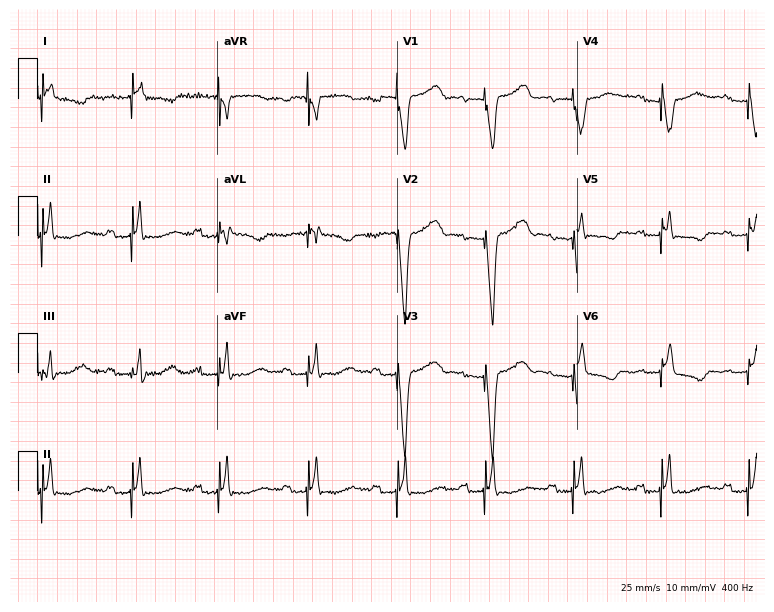
Resting 12-lead electrocardiogram (7.3-second recording at 400 Hz). Patient: a woman, 70 years old. None of these six findings is recorded: first-degree AV block, right bundle branch block, left bundle branch block, sinus bradycardia, atrial fibrillation, sinus tachycardia.